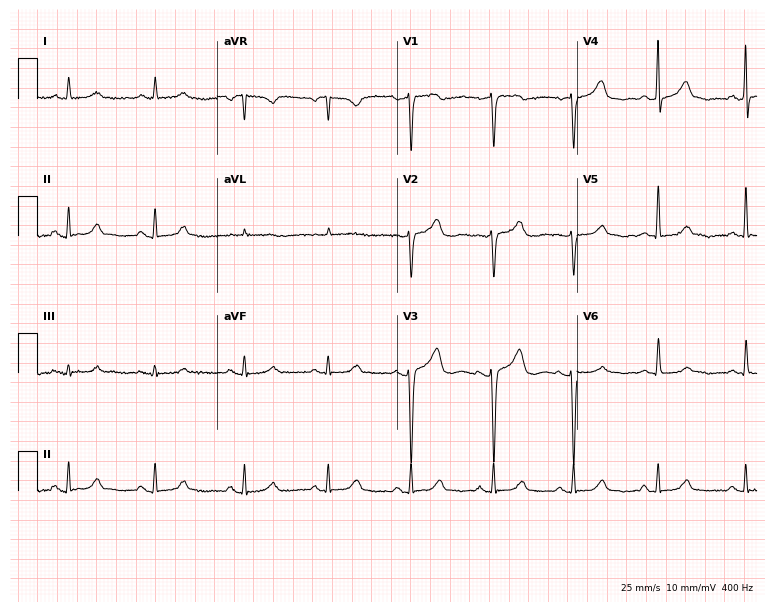
Standard 12-lead ECG recorded from a 55-year-old woman. Read as a normal ECG.